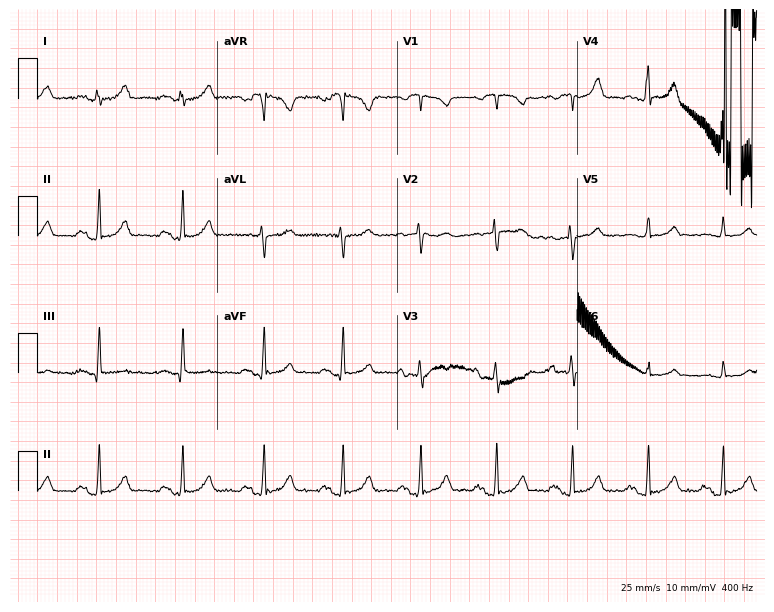
Resting 12-lead electrocardiogram. Patient: a female, 35 years old. None of these six findings is recorded: first-degree AV block, right bundle branch block, left bundle branch block, sinus bradycardia, atrial fibrillation, sinus tachycardia. Other findings, if any, are not listed.